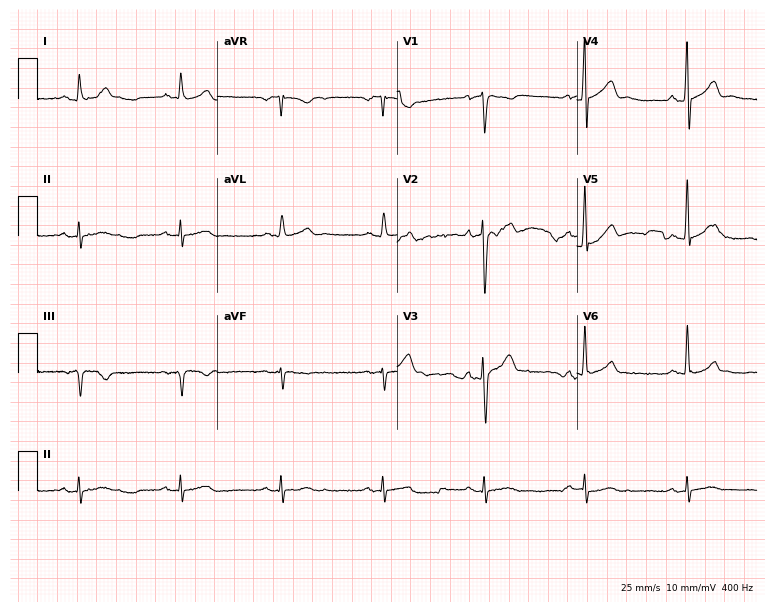
12-lead ECG (7.3-second recording at 400 Hz) from a male, 47 years old. Screened for six findings — first-degree AV block, right bundle branch block, left bundle branch block, sinus bradycardia, atrial fibrillation, sinus tachycardia — none is recorded.